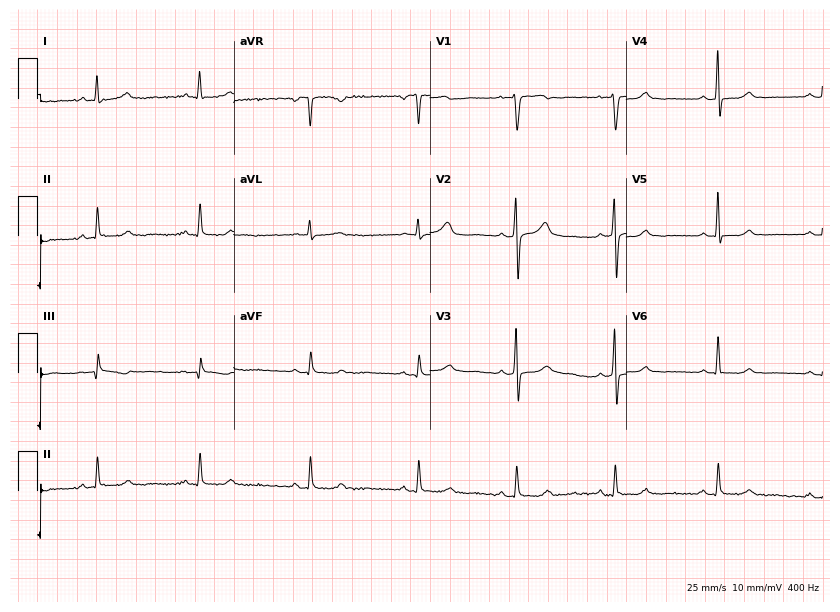
12-lead ECG (8-second recording at 400 Hz) from a 34-year-old woman. Screened for six findings — first-degree AV block, right bundle branch block (RBBB), left bundle branch block (LBBB), sinus bradycardia, atrial fibrillation (AF), sinus tachycardia — none is recorded.